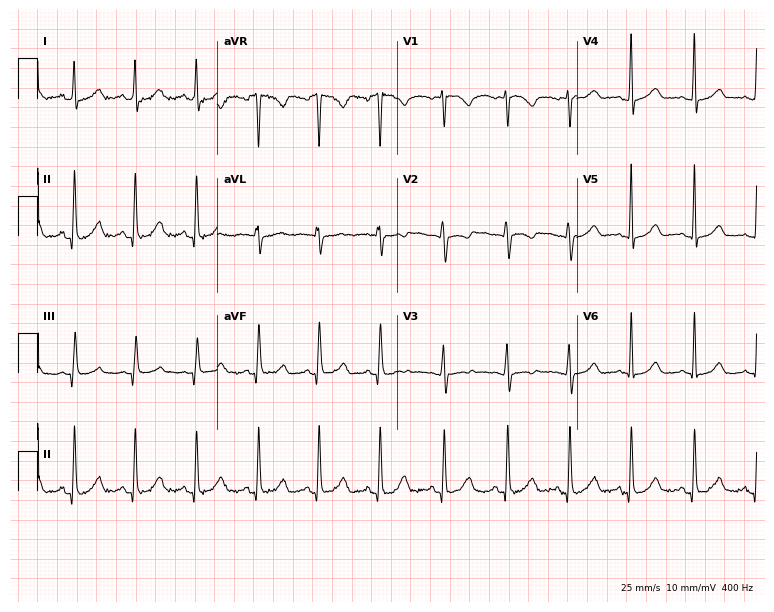
Standard 12-lead ECG recorded from a female patient, 33 years old. None of these six findings is recorded: first-degree AV block, right bundle branch block (RBBB), left bundle branch block (LBBB), sinus bradycardia, atrial fibrillation (AF), sinus tachycardia.